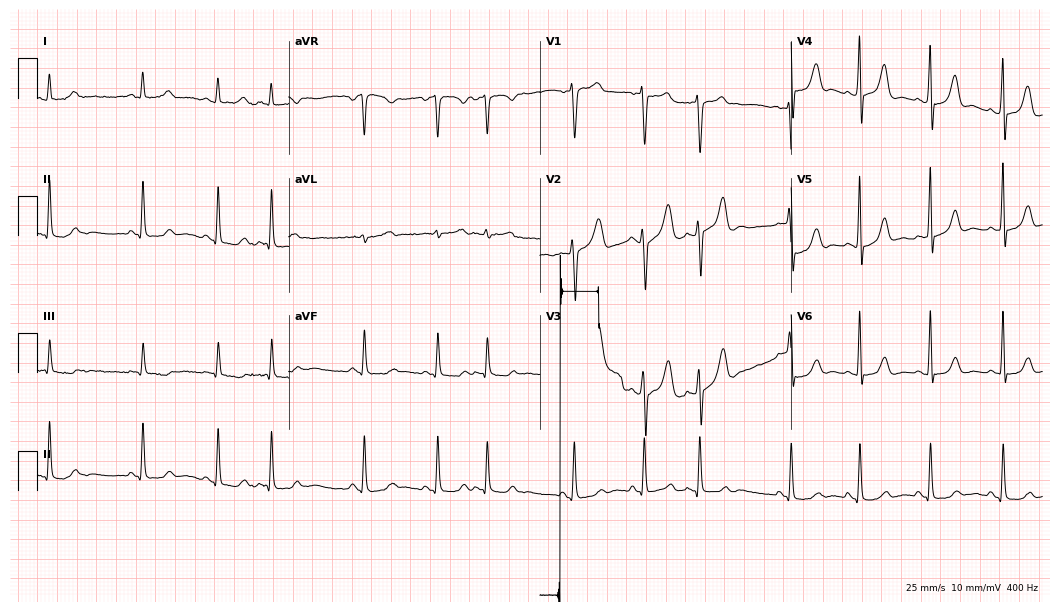
12-lead ECG (10.2-second recording at 400 Hz) from a female, 29 years old. Screened for six findings — first-degree AV block, right bundle branch block (RBBB), left bundle branch block (LBBB), sinus bradycardia, atrial fibrillation (AF), sinus tachycardia — none is recorded.